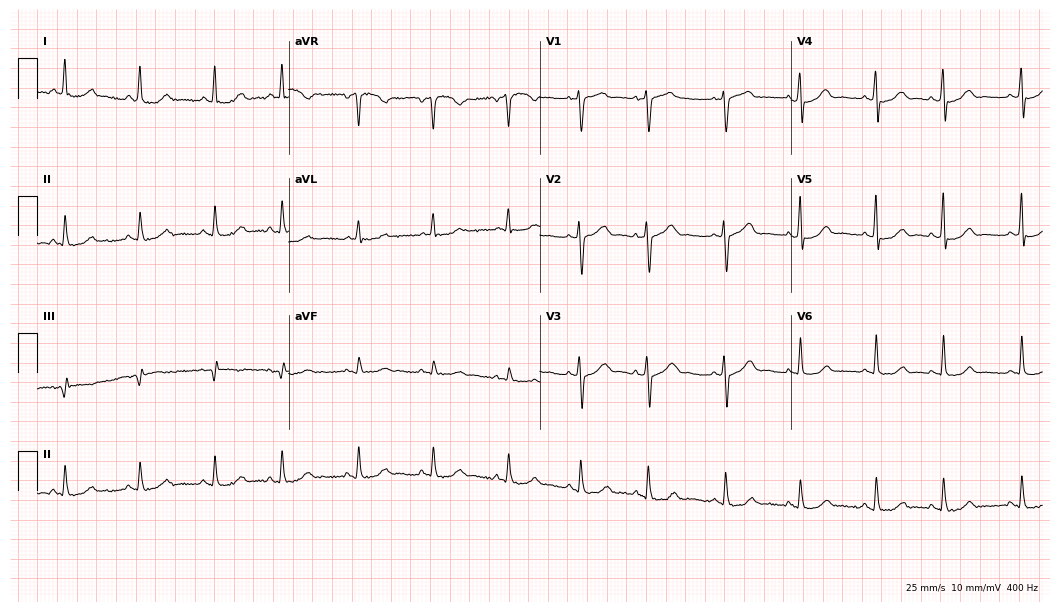
Electrocardiogram (10.2-second recording at 400 Hz), a 74-year-old female patient. Of the six screened findings (first-degree AV block, right bundle branch block (RBBB), left bundle branch block (LBBB), sinus bradycardia, atrial fibrillation (AF), sinus tachycardia), none is recorded. Only these six findings were labelled.